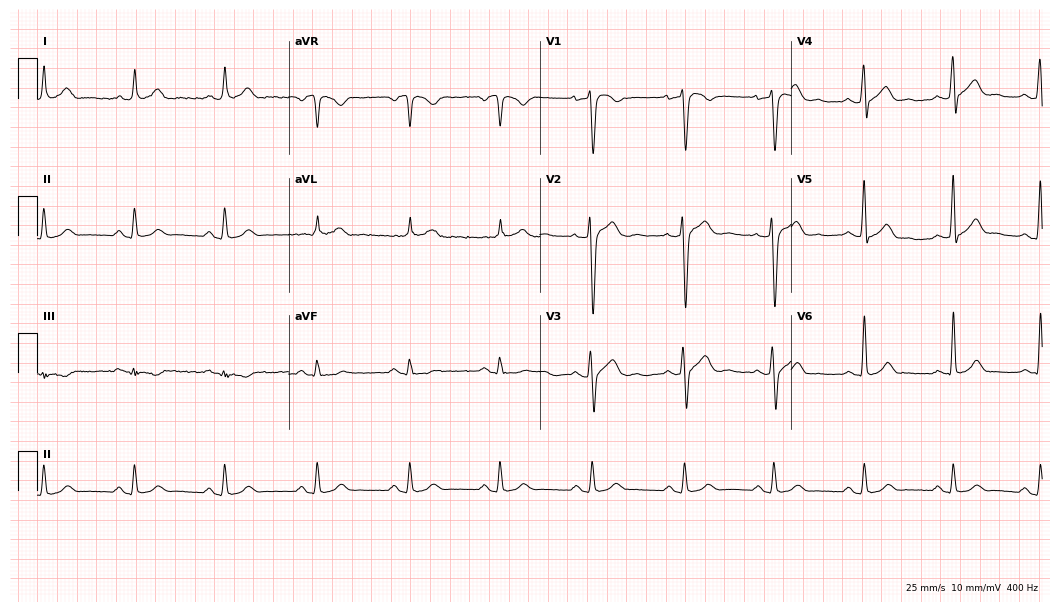
Resting 12-lead electrocardiogram (10.2-second recording at 400 Hz). Patient: a male, 31 years old. None of these six findings is recorded: first-degree AV block, right bundle branch block, left bundle branch block, sinus bradycardia, atrial fibrillation, sinus tachycardia.